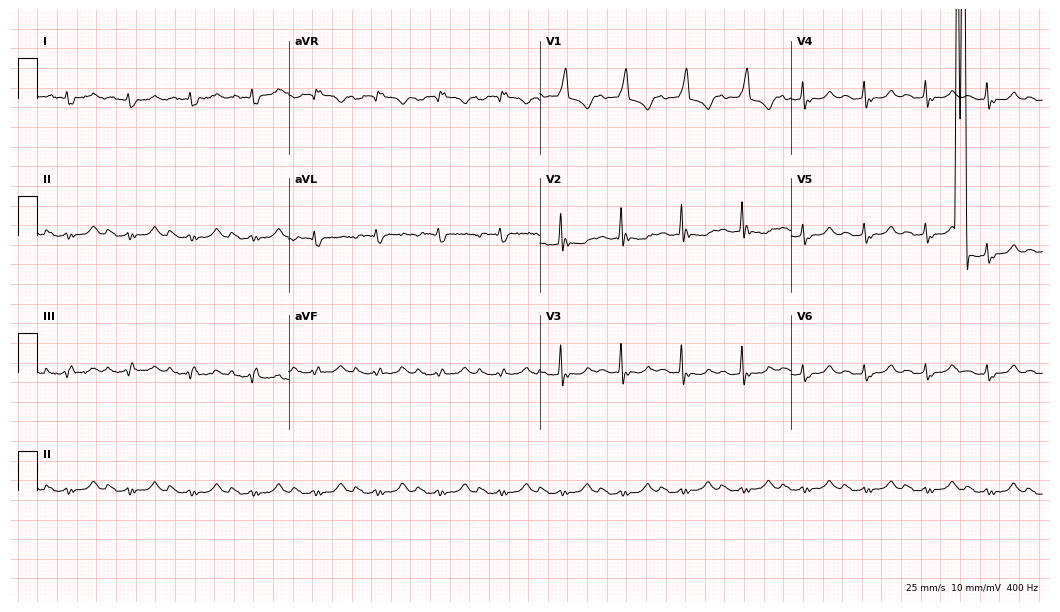
ECG (10.2-second recording at 400 Hz) — a 76-year-old male. Screened for six findings — first-degree AV block, right bundle branch block (RBBB), left bundle branch block (LBBB), sinus bradycardia, atrial fibrillation (AF), sinus tachycardia — none is recorded.